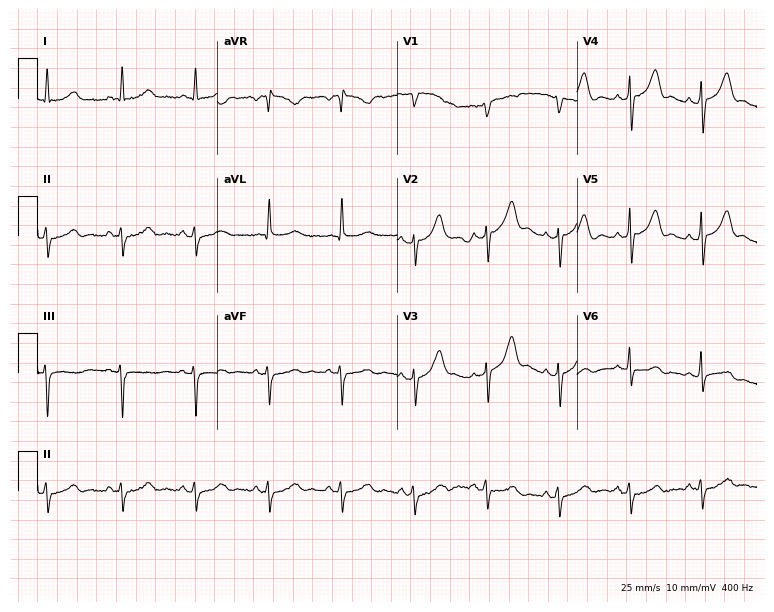
Standard 12-lead ECG recorded from a male, 61 years old (7.3-second recording at 400 Hz). Read as a normal ECG.